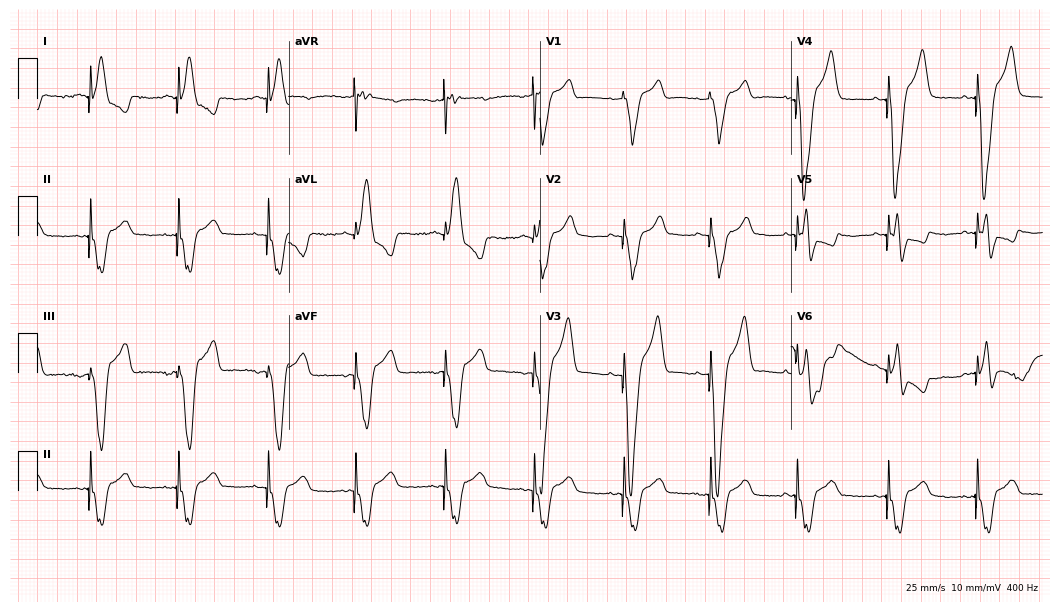
12-lead ECG (10.2-second recording at 400 Hz) from an 80-year-old woman. Screened for six findings — first-degree AV block, right bundle branch block (RBBB), left bundle branch block (LBBB), sinus bradycardia, atrial fibrillation (AF), sinus tachycardia — none is recorded.